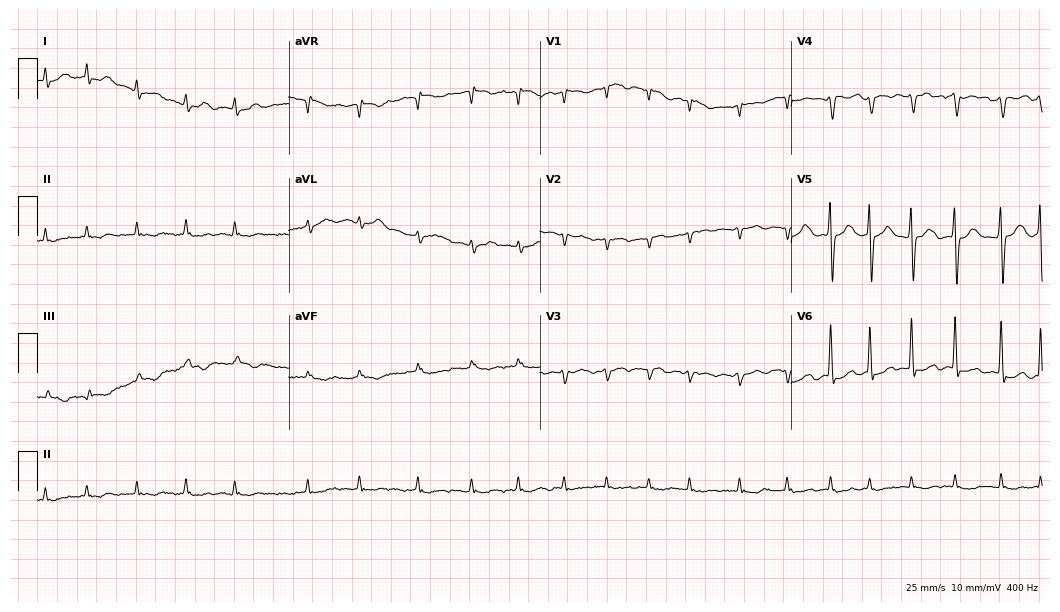
ECG — a 78-year-old female. Screened for six findings — first-degree AV block, right bundle branch block (RBBB), left bundle branch block (LBBB), sinus bradycardia, atrial fibrillation (AF), sinus tachycardia — none is recorded. Findings outside these six are not listed.